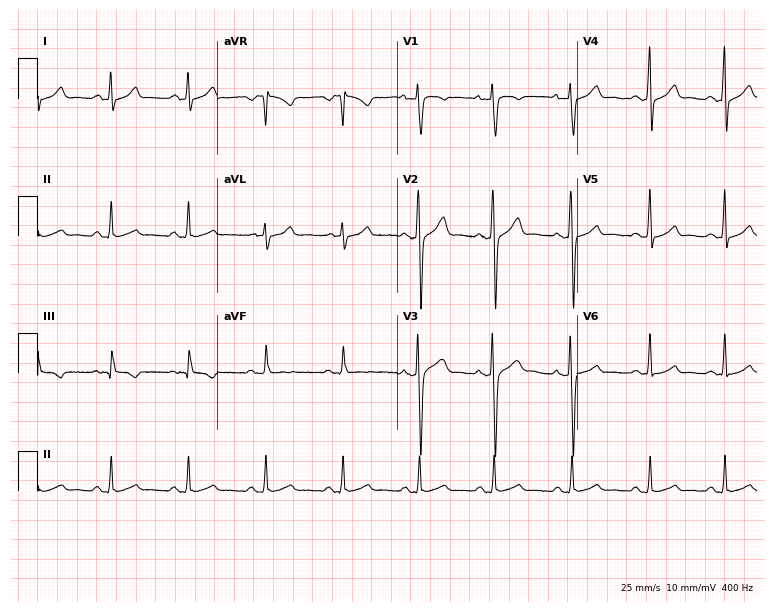
Standard 12-lead ECG recorded from a male patient, 29 years old. Read as a normal ECG.